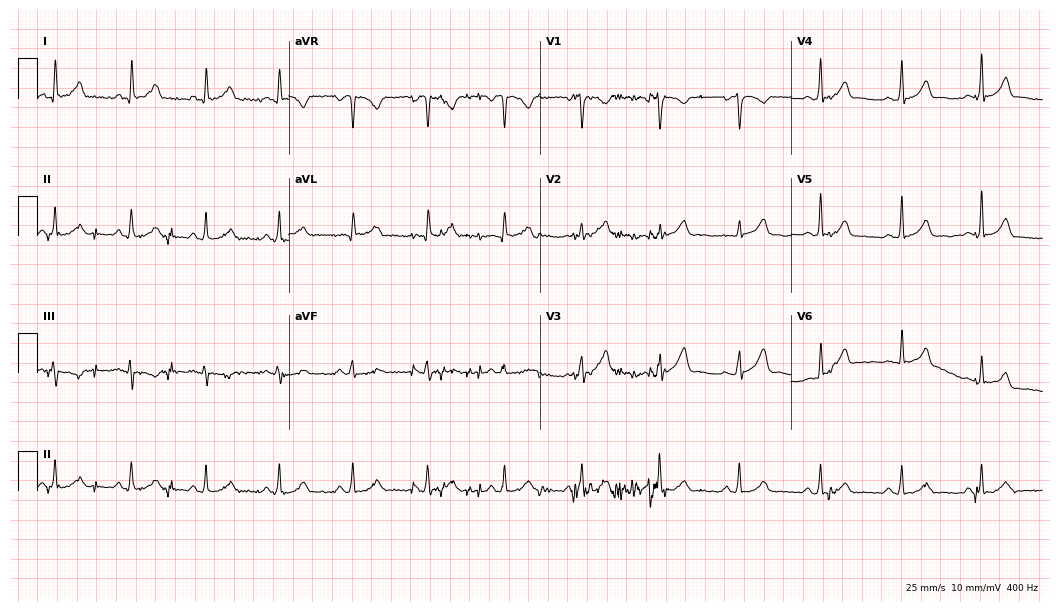
Electrocardiogram, a 51-year-old male. Overall reading on record: normal ECG.